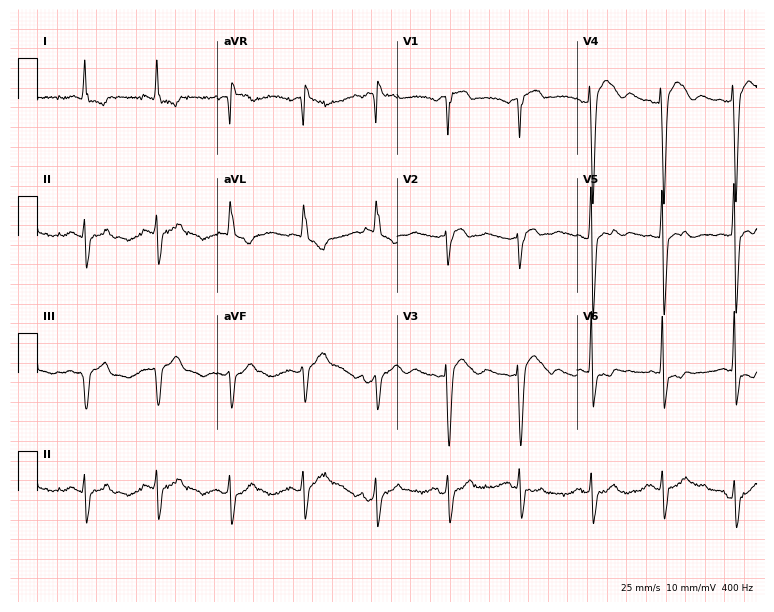
Standard 12-lead ECG recorded from a 67-year-old male patient. None of these six findings is recorded: first-degree AV block, right bundle branch block, left bundle branch block, sinus bradycardia, atrial fibrillation, sinus tachycardia.